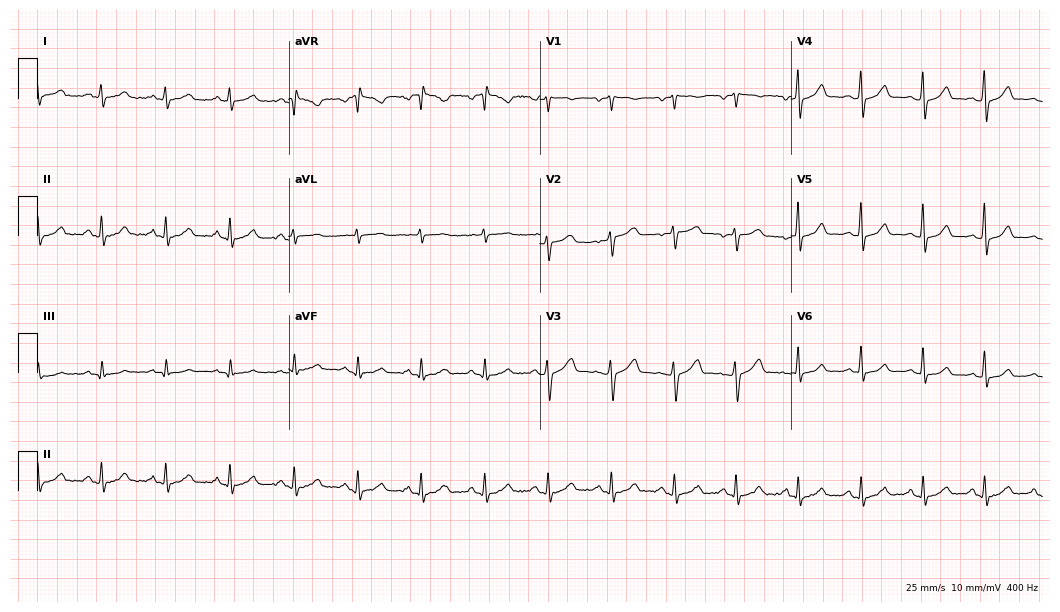
Resting 12-lead electrocardiogram. Patient: a female, 38 years old. Read as a normal ECG.